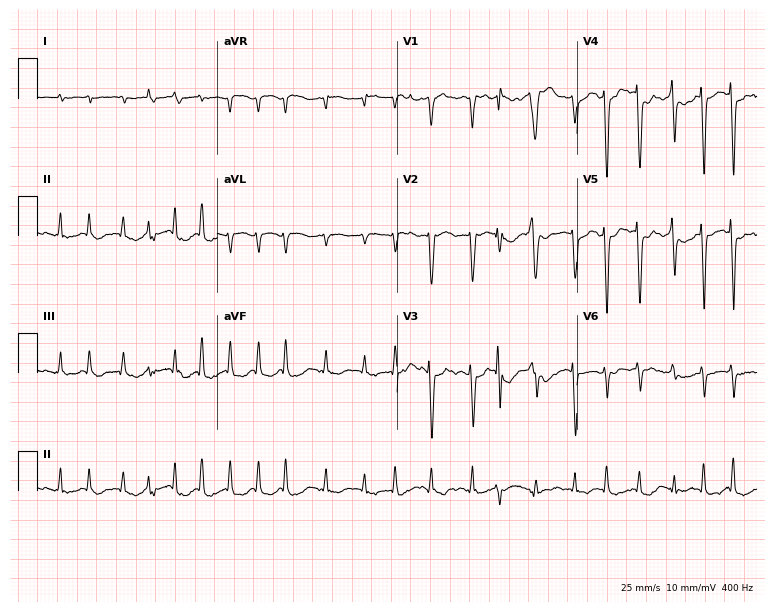
Resting 12-lead electrocardiogram (7.3-second recording at 400 Hz). Patient: a 75-year-old male. None of these six findings is recorded: first-degree AV block, right bundle branch block (RBBB), left bundle branch block (LBBB), sinus bradycardia, atrial fibrillation (AF), sinus tachycardia. Other findings, if any, are not listed.